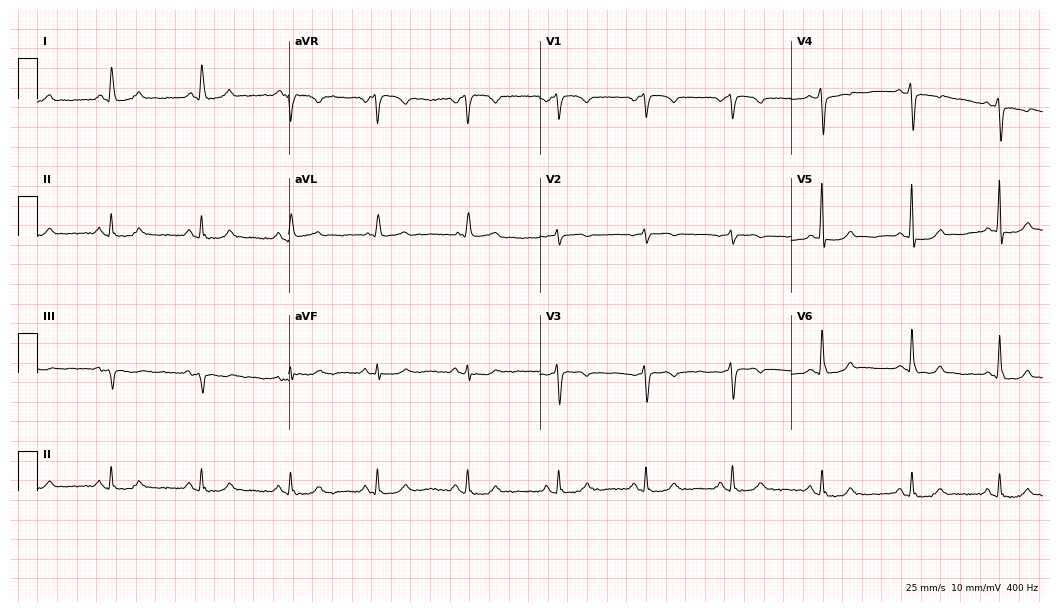
12-lead ECG from a 70-year-old female. No first-degree AV block, right bundle branch block, left bundle branch block, sinus bradycardia, atrial fibrillation or sinus tachycardia recorded for this tracing.